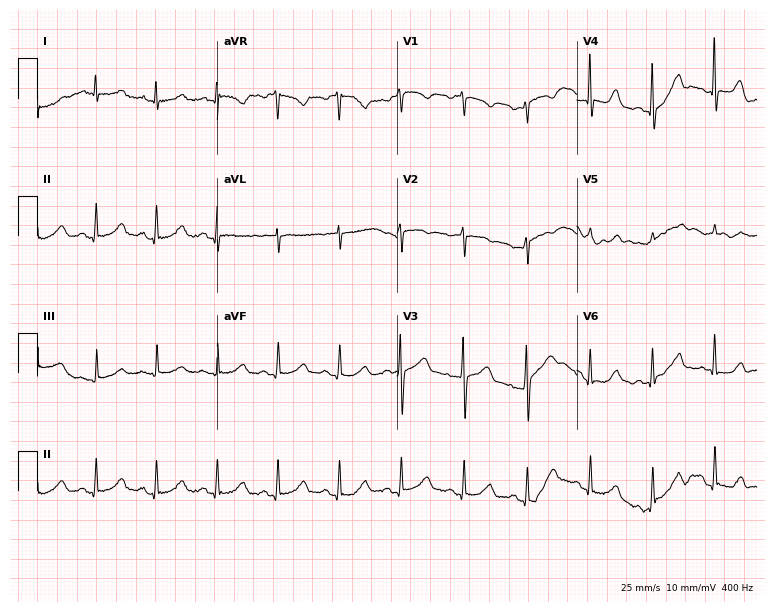
12-lead ECG from a 67-year-old female (7.3-second recording at 400 Hz). No first-degree AV block, right bundle branch block, left bundle branch block, sinus bradycardia, atrial fibrillation or sinus tachycardia recorded for this tracing.